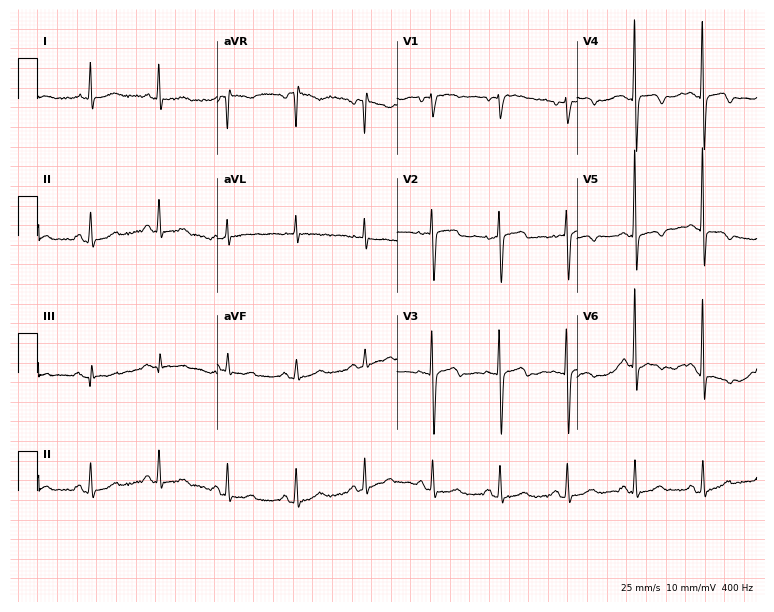
12-lead ECG from a woman, 77 years old. Screened for six findings — first-degree AV block, right bundle branch block, left bundle branch block, sinus bradycardia, atrial fibrillation, sinus tachycardia — none is recorded.